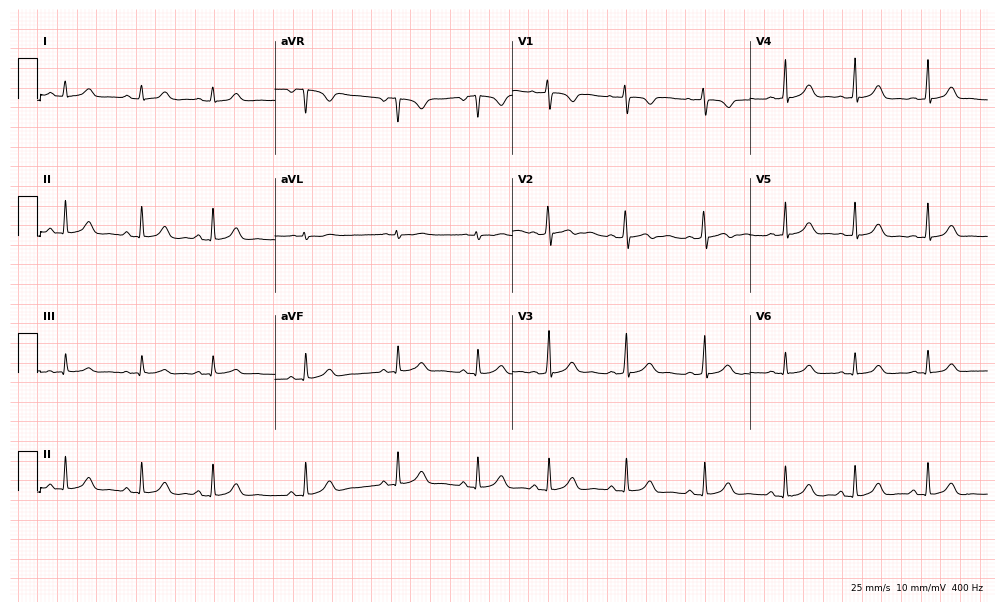
ECG — a female, 18 years old. Labelled as a normal ECG.